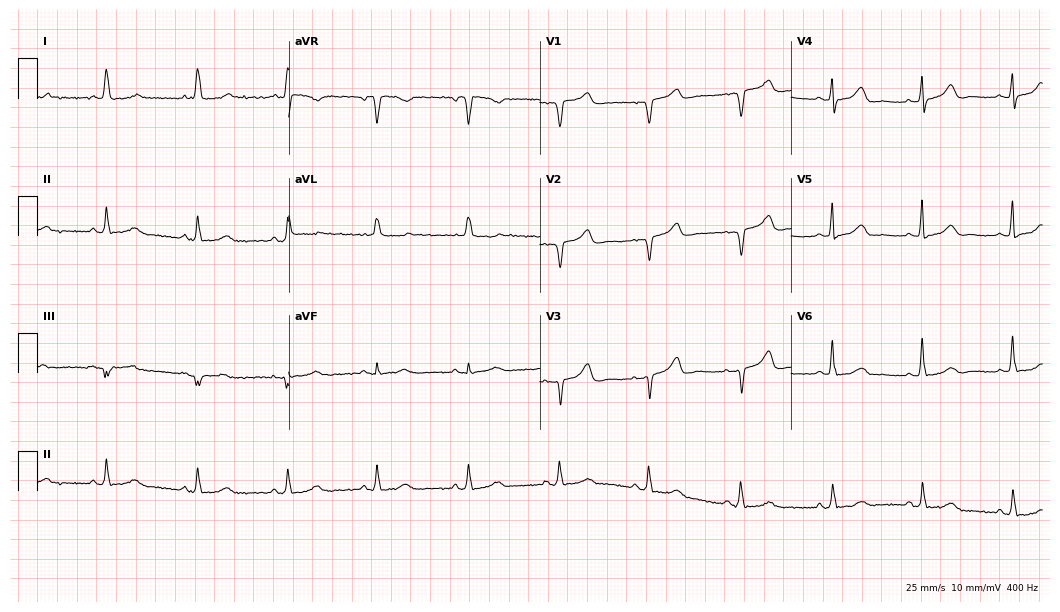
12-lead ECG from a female, 76 years old. Recorded interpretation: within normal limits.